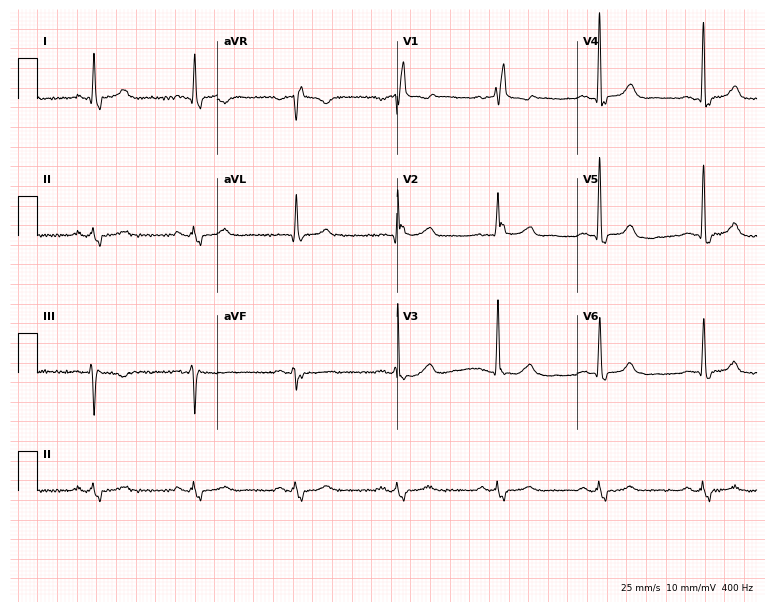
Electrocardiogram (7.3-second recording at 400 Hz), a 77-year-old man. Interpretation includes right bundle branch block.